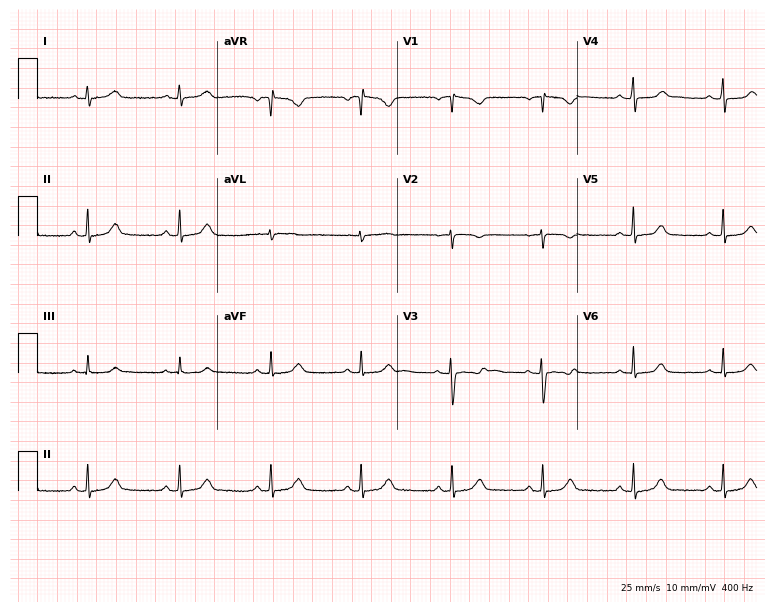
Electrocardiogram (7.3-second recording at 400 Hz), a 57-year-old female. Overall reading on record: normal ECG.